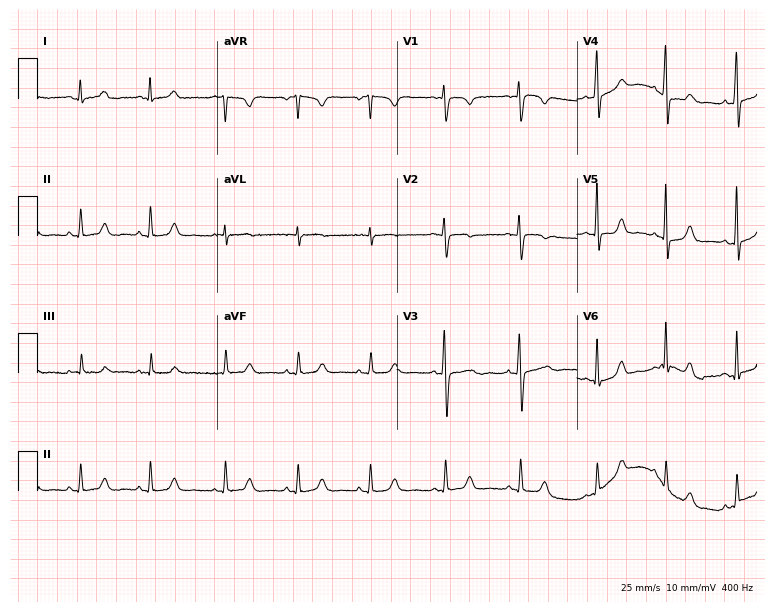
Standard 12-lead ECG recorded from a 26-year-old female. Read as a normal ECG.